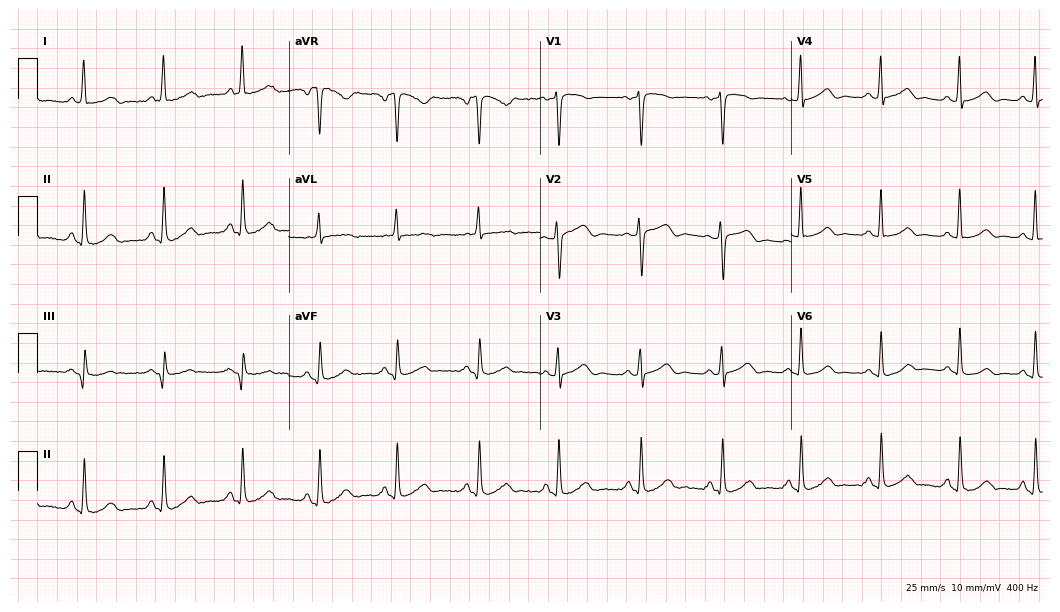
Electrocardiogram, a 55-year-old woman. Overall reading on record: normal ECG.